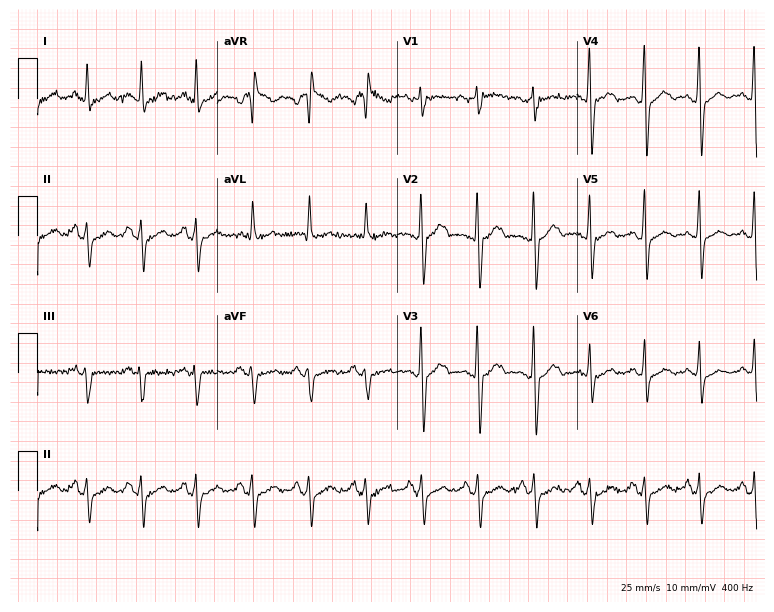
12-lead ECG from a woman, 43 years old. Findings include sinus tachycardia (a sinus rate of 100 beats per minute or more).